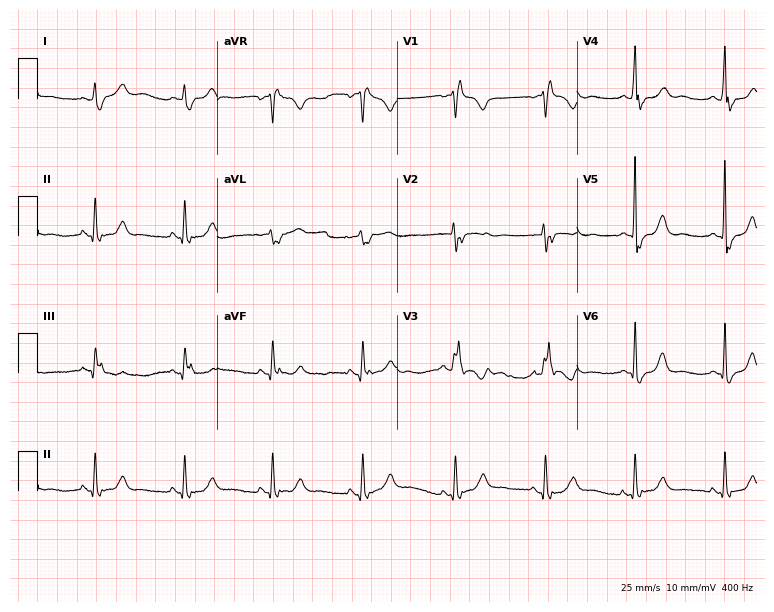
Standard 12-lead ECG recorded from a female patient, 54 years old. The tracing shows right bundle branch block.